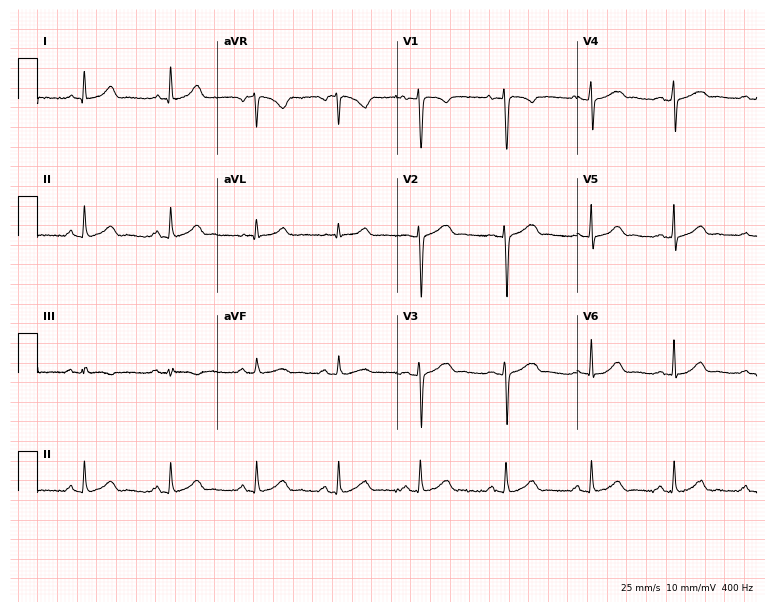
12-lead ECG from a 26-year-old female patient (7.3-second recording at 400 Hz). No first-degree AV block, right bundle branch block, left bundle branch block, sinus bradycardia, atrial fibrillation or sinus tachycardia recorded for this tracing.